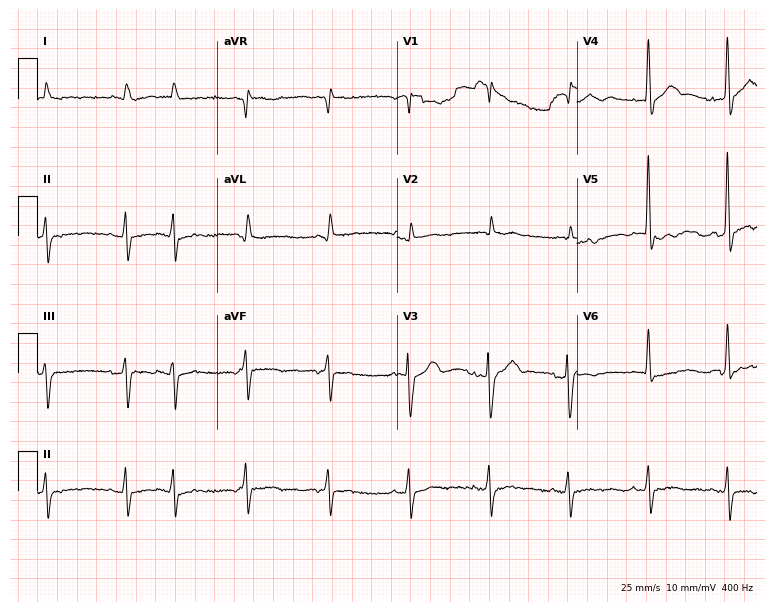
ECG (7.3-second recording at 400 Hz) — an 80-year-old male. Screened for six findings — first-degree AV block, right bundle branch block, left bundle branch block, sinus bradycardia, atrial fibrillation, sinus tachycardia — none is recorded.